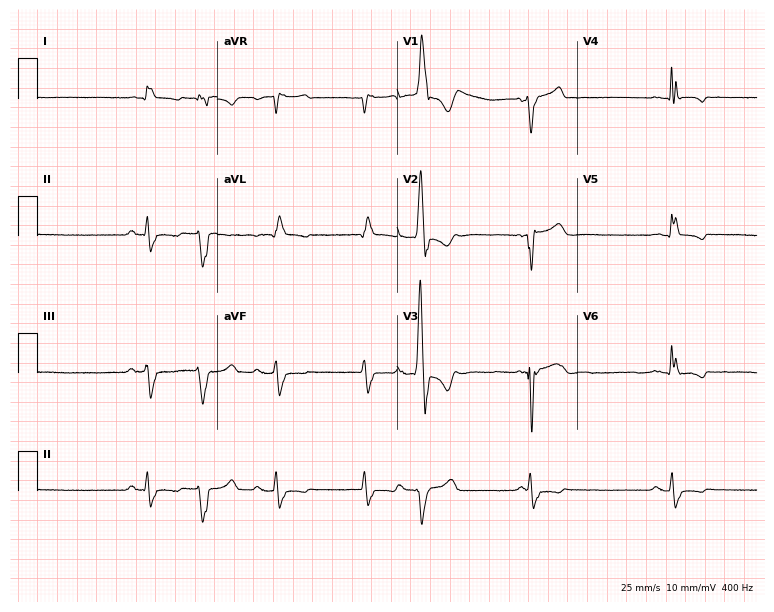
12-lead ECG from an 82-year-old man (7.3-second recording at 400 Hz). Shows left bundle branch block.